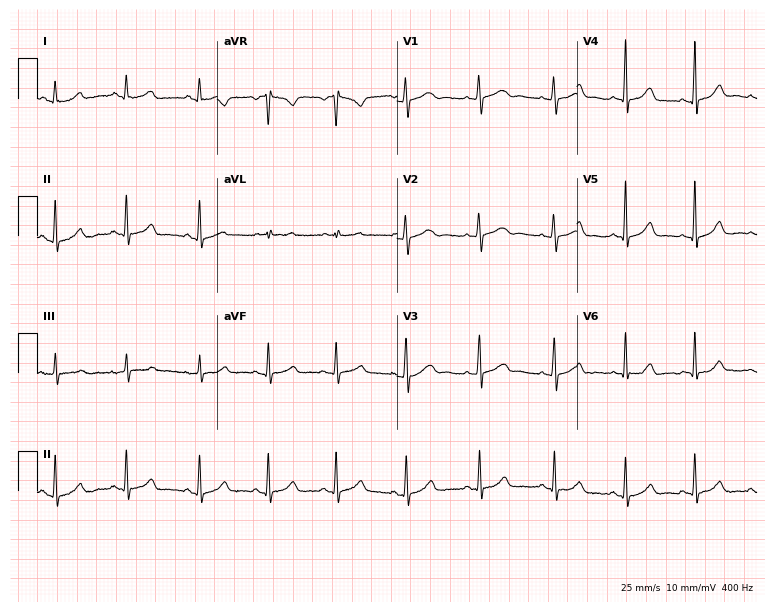
12-lead ECG (7.3-second recording at 400 Hz) from a 25-year-old female. Labelled as a normal ECG.